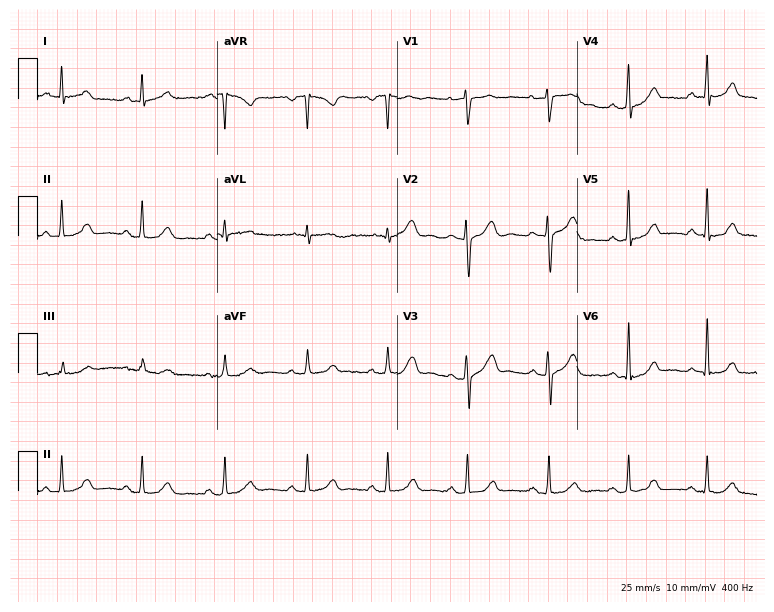
Electrocardiogram, a female patient, 31 years old. Overall reading on record: normal ECG.